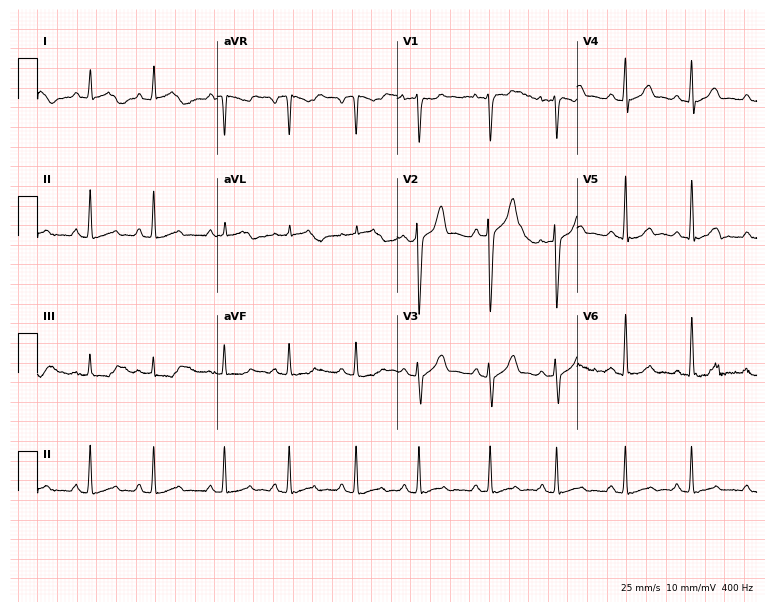
12-lead ECG (7.3-second recording at 400 Hz) from a 37-year-old male. Labelled as a normal ECG.